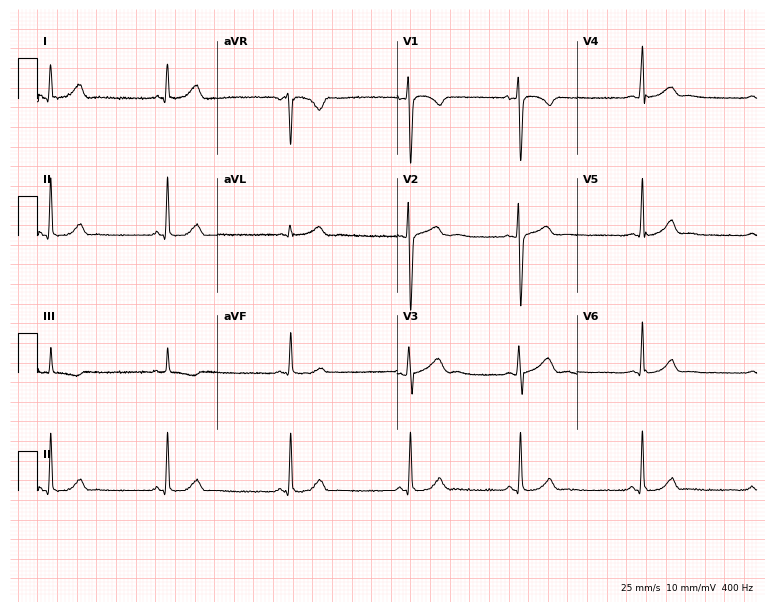
Electrocardiogram (7.3-second recording at 400 Hz), a female, 19 years old. Of the six screened findings (first-degree AV block, right bundle branch block (RBBB), left bundle branch block (LBBB), sinus bradycardia, atrial fibrillation (AF), sinus tachycardia), none is recorded. Other findings, if any, are not listed.